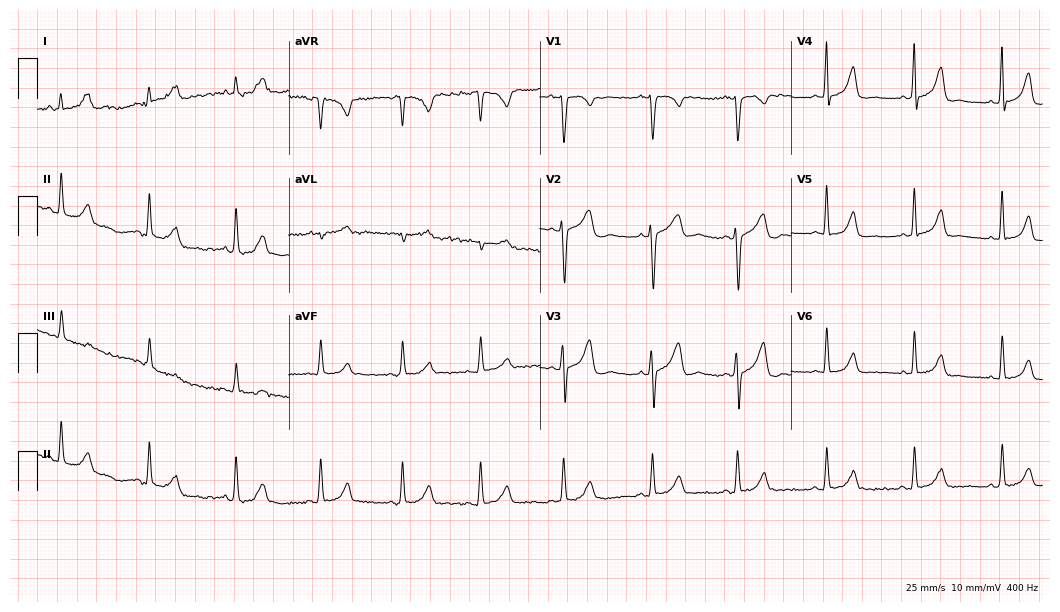
Standard 12-lead ECG recorded from a female patient, 25 years old. None of these six findings is recorded: first-degree AV block, right bundle branch block (RBBB), left bundle branch block (LBBB), sinus bradycardia, atrial fibrillation (AF), sinus tachycardia. Only these six findings were labelled.